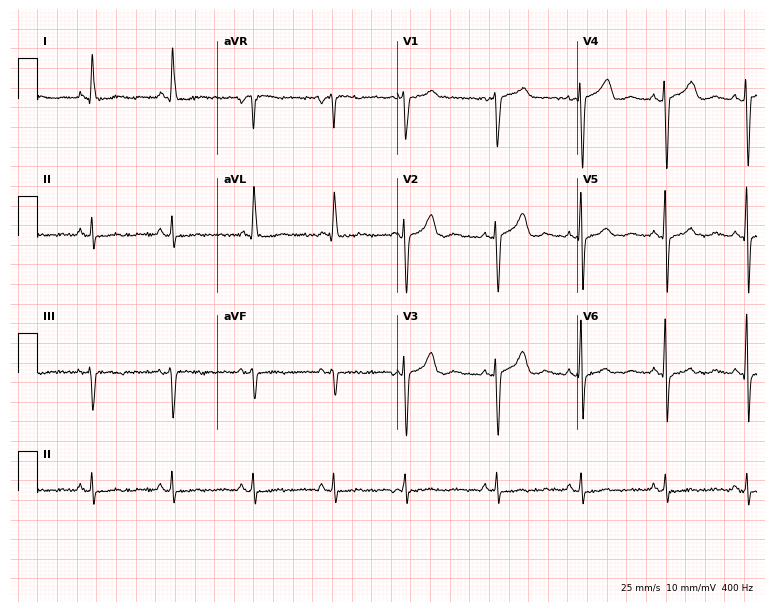
ECG — a 44-year-old woman. Screened for six findings — first-degree AV block, right bundle branch block (RBBB), left bundle branch block (LBBB), sinus bradycardia, atrial fibrillation (AF), sinus tachycardia — none is recorded.